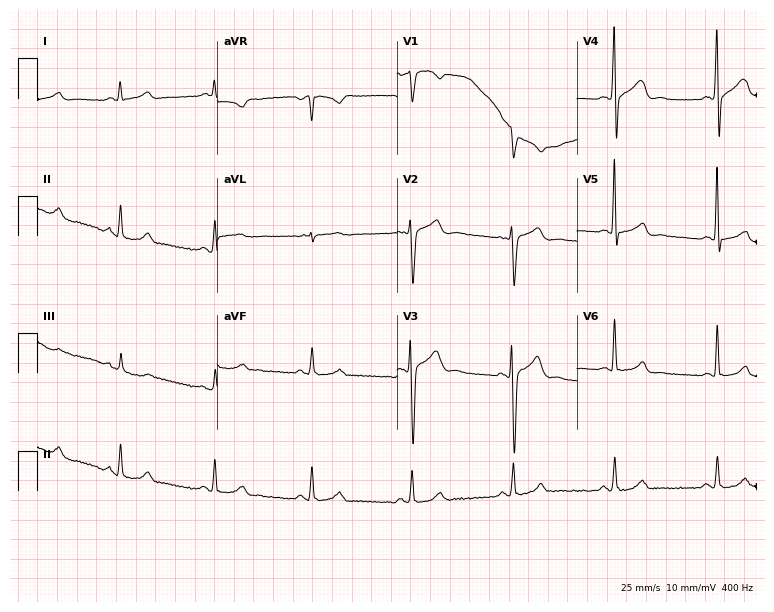
Resting 12-lead electrocardiogram. Patient: a man, 52 years old. None of these six findings is recorded: first-degree AV block, right bundle branch block, left bundle branch block, sinus bradycardia, atrial fibrillation, sinus tachycardia.